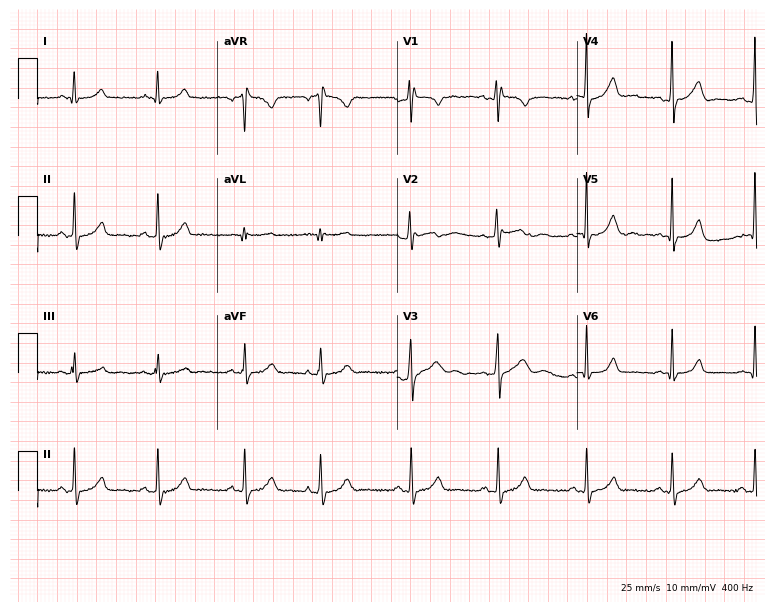
Electrocardiogram, a woman, 18 years old. Of the six screened findings (first-degree AV block, right bundle branch block, left bundle branch block, sinus bradycardia, atrial fibrillation, sinus tachycardia), none is recorded.